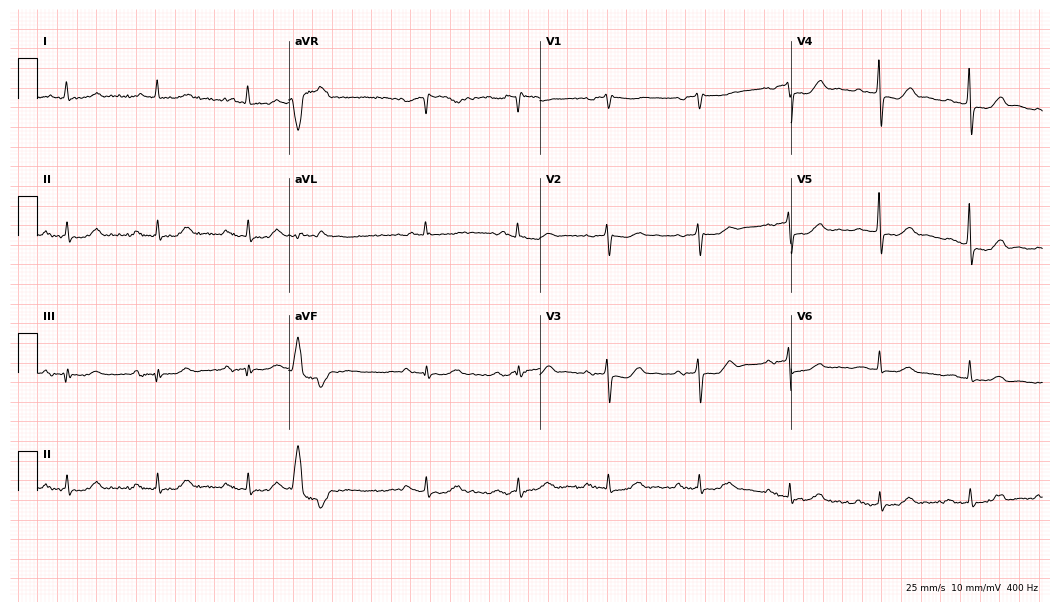
12-lead ECG (10.2-second recording at 400 Hz) from a 74-year-old woman. Findings include first-degree AV block.